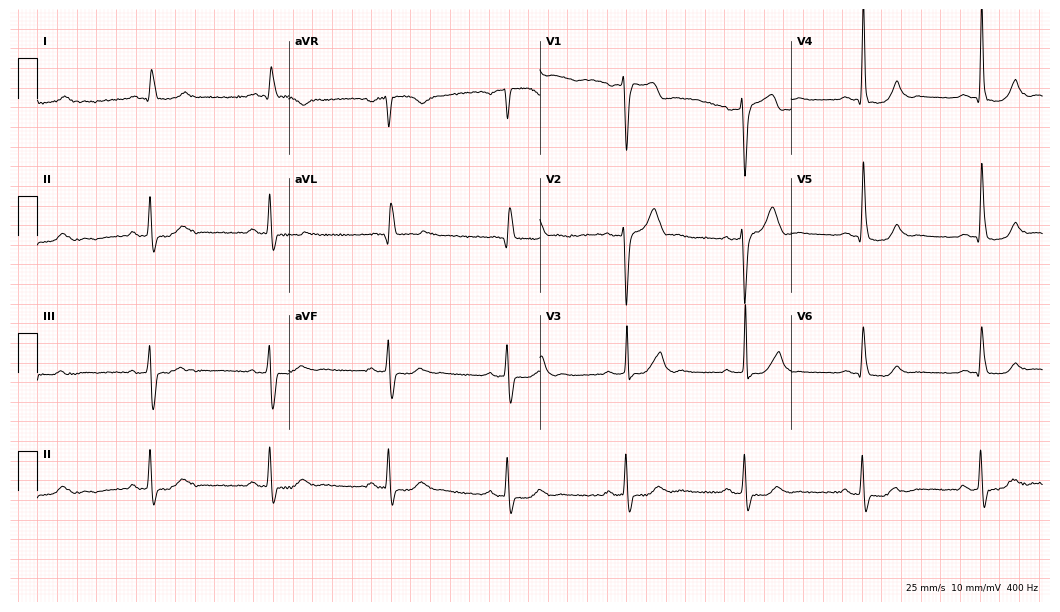
12-lead ECG (10.2-second recording at 400 Hz) from a man, 68 years old. Screened for six findings — first-degree AV block, right bundle branch block, left bundle branch block, sinus bradycardia, atrial fibrillation, sinus tachycardia — none is recorded.